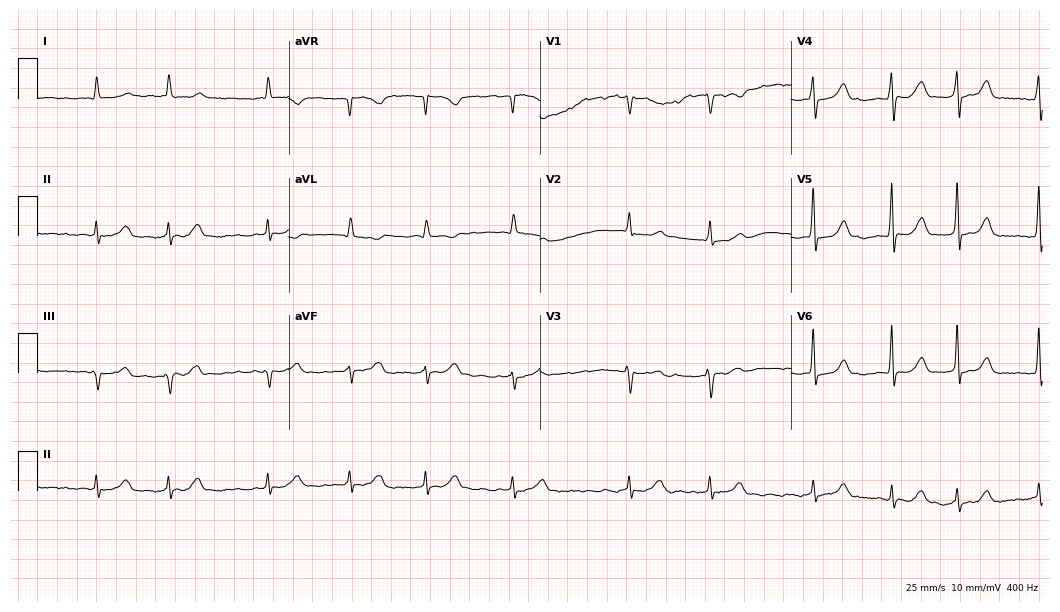
Standard 12-lead ECG recorded from a female, 78 years old (10.2-second recording at 400 Hz). The tracing shows atrial fibrillation.